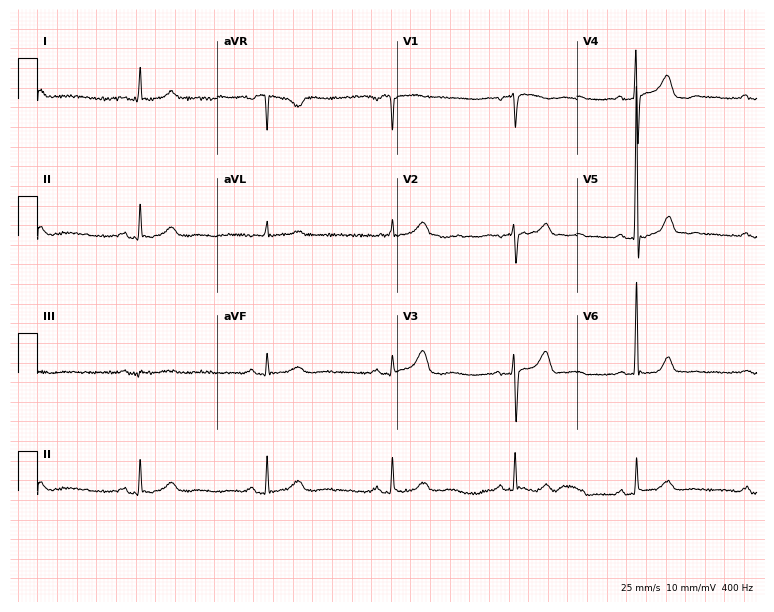
Resting 12-lead electrocardiogram (7.3-second recording at 400 Hz). Patient: a female, 80 years old. The tracing shows sinus bradycardia (a sinus rate of 50 beats per minute or less).